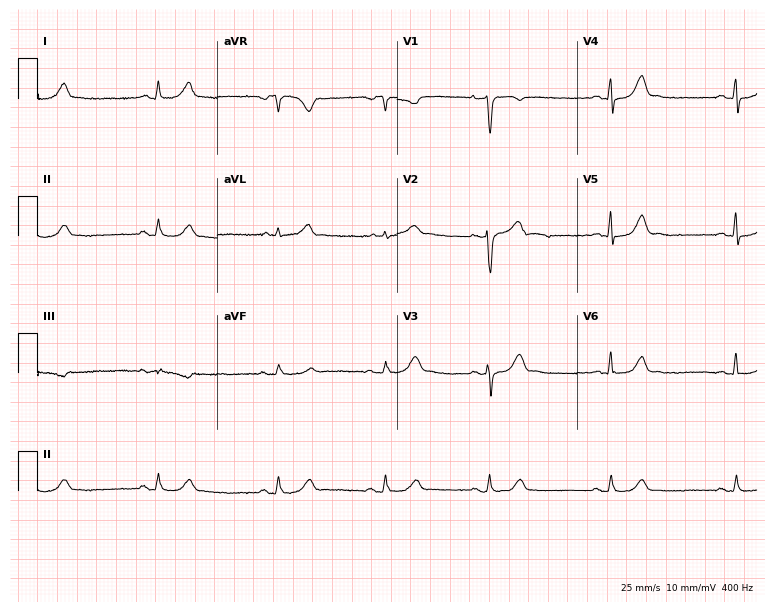
Standard 12-lead ECG recorded from a 50-year-old female (7.3-second recording at 400 Hz). None of these six findings is recorded: first-degree AV block, right bundle branch block, left bundle branch block, sinus bradycardia, atrial fibrillation, sinus tachycardia.